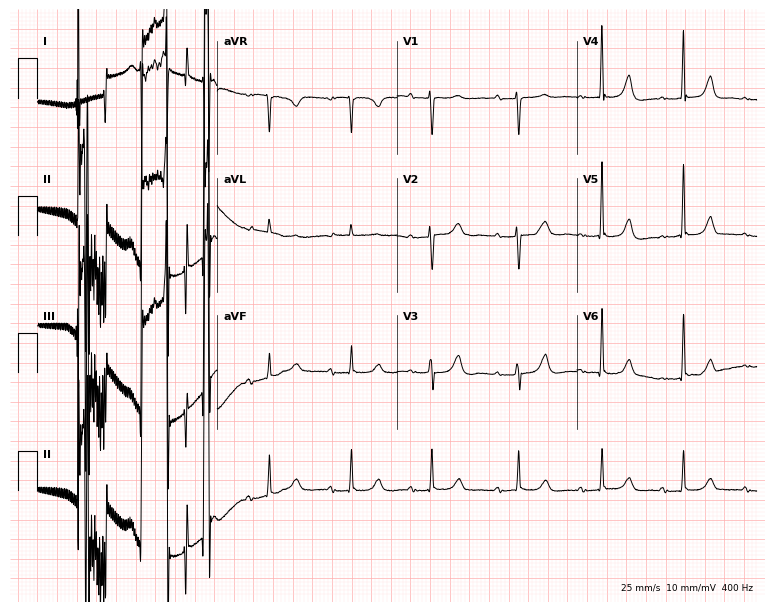
ECG (7.3-second recording at 400 Hz) — a female patient, 78 years old. Screened for six findings — first-degree AV block, right bundle branch block (RBBB), left bundle branch block (LBBB), sinus bradycardia, atrial fibrillation (AF), sinus tachycardia — none is recorded.